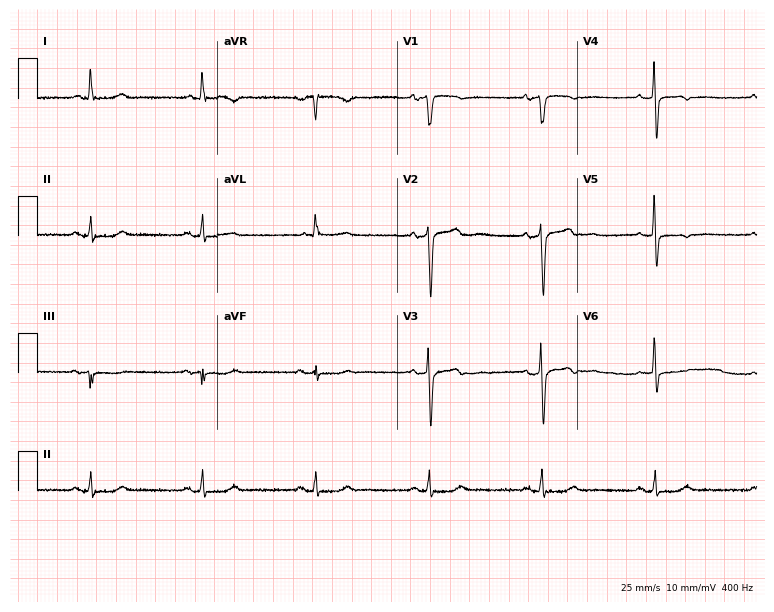
Electrocardiogram, a 72-year-old man. Of the six screened findings (first-degree AV block, right bundle branch block (RBBB), left bundle branch block (LBBB), sinus bradycardia, atrial fibrillation (AF), sinus tachycardia), none is recorded.